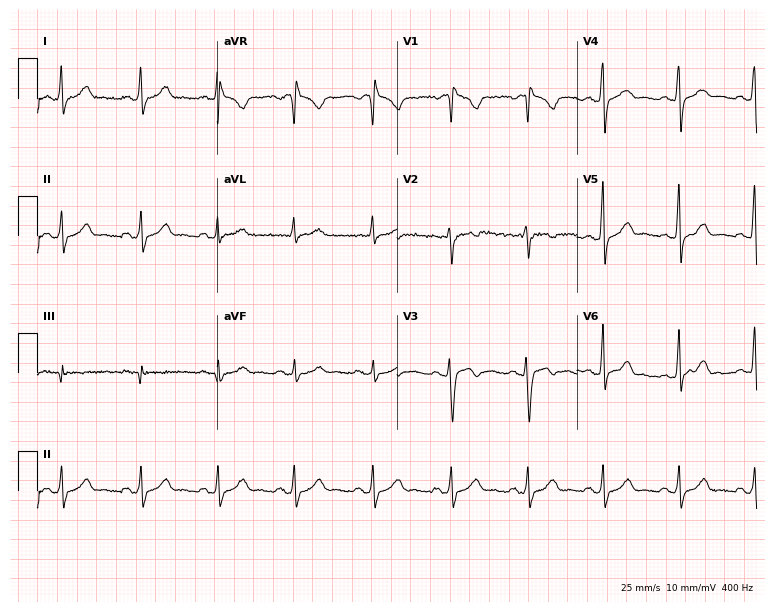
12-lead ECG (7.3-second recording at 400 Hz) from a woman, 33 years old. Screened for six findings — first-degree AV block, right bundle branch block, left bundle branch block, sinus bradycardia, atrial fibrillation, sinus tachycardia — none is recorded.